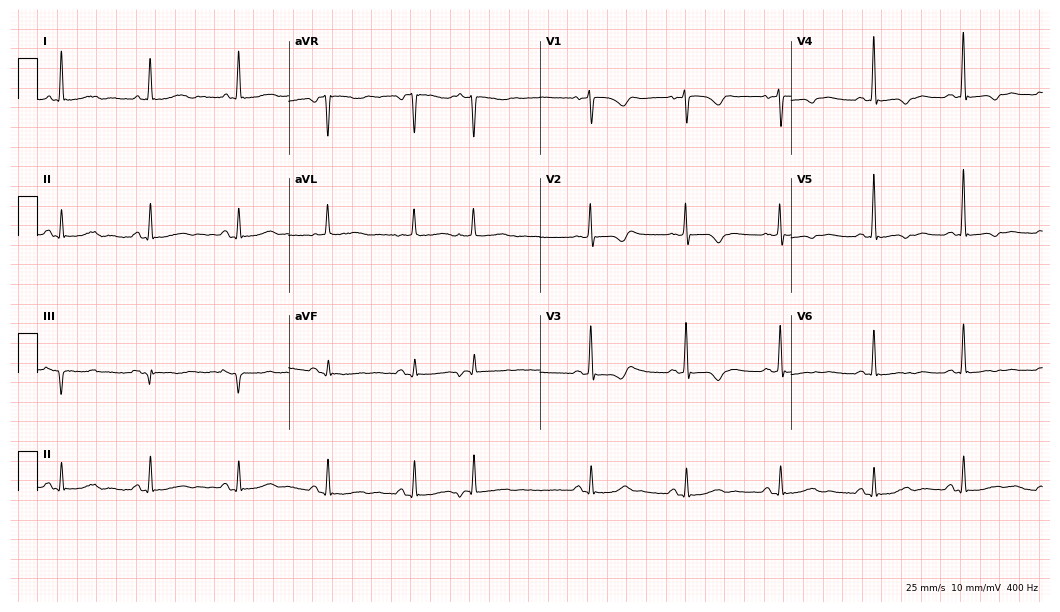
Electrocardiogram, a female patient, 74 years old. Of the six screened findings (first-degree AV block, right bundle branch block, left bundle branch block, sinus bradycardia, atrial fibrillation, sinus tachycardia), none is recorded. Findings outside these six are not listed.